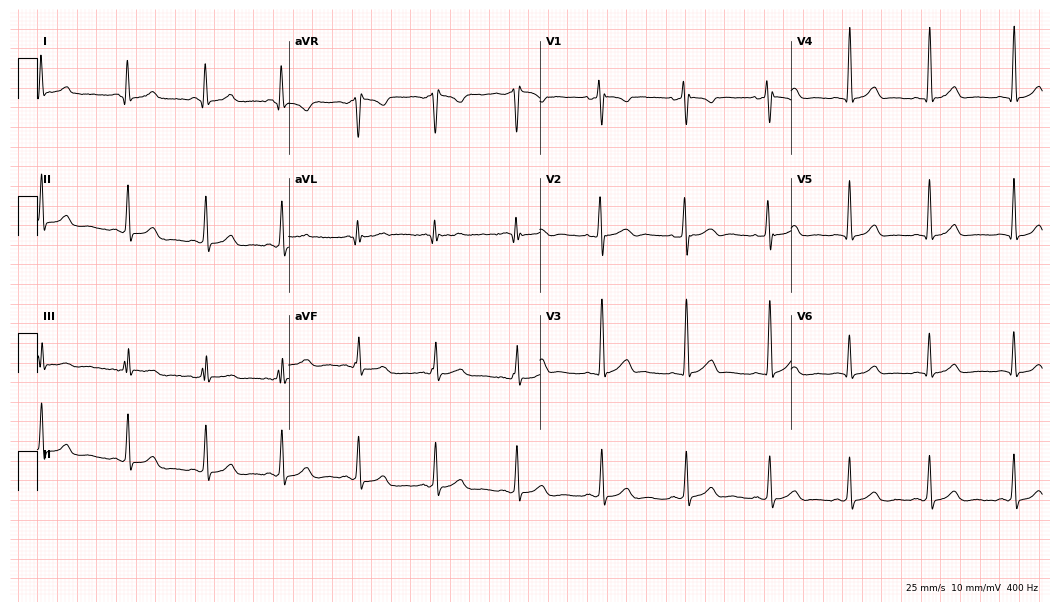
12-lead ECG from a woman, 22 years old. Recorded interpretation: within normal limits.